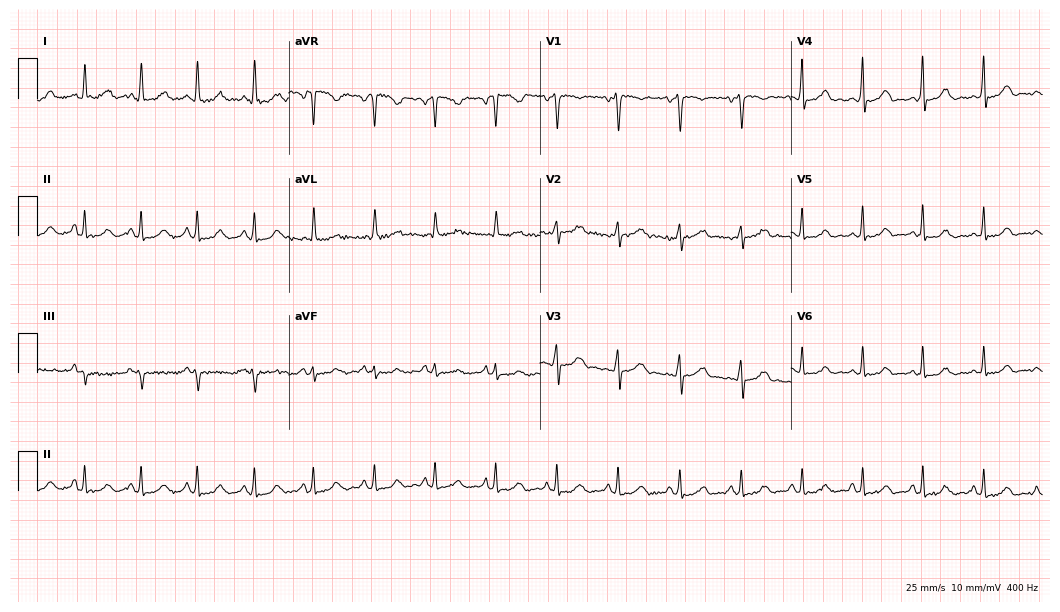
Resting 12-lead electrocardiogram. Patient: a woman, 42 years old. None of these six findings is recorded: first-degree AV block, right bundle branch block, left bundle branch block, sinus bradycardia, atrial fibrillation, sinus tachycardia. Other findings, if any, are not listed.